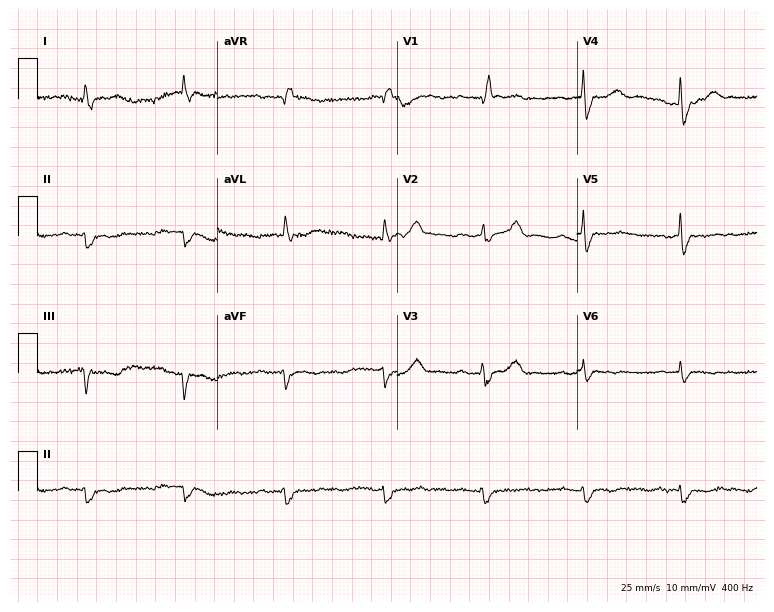
ECG — a male patient, 72 years old. Screened for six findings — first-degree AV block, right bundle branch block, left bundle branch block, sinus bradycardia, atrial fibrillation, sinus tachycardia — none is recorded.